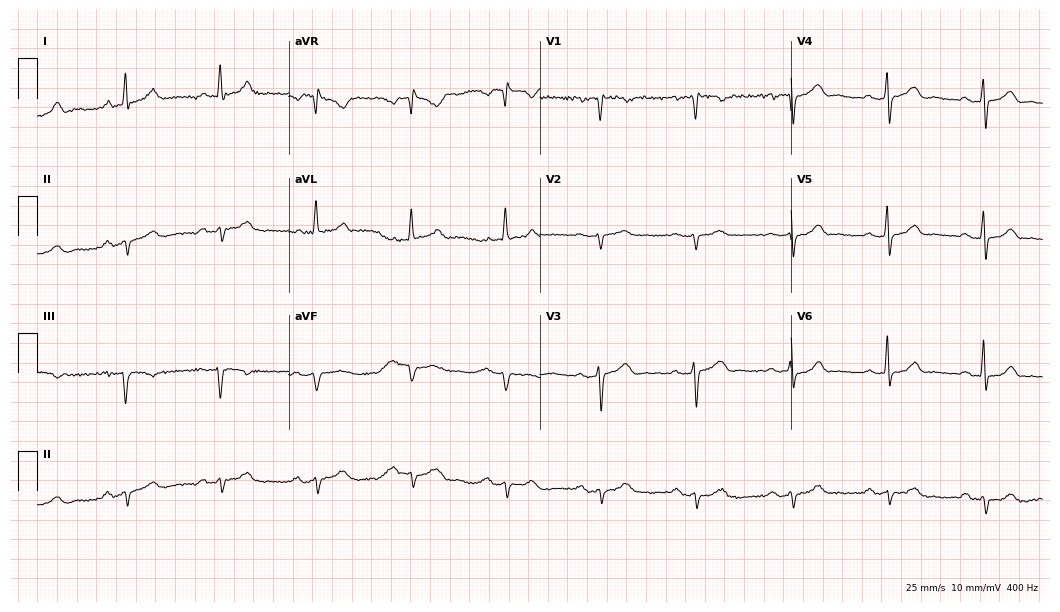
Resting 12-lead electrocardiogram (10.2-second recording at 400 Hz). Patient: a 74-year-old male. None of these six findings is recorded: first-degree AV block, right bundle branch block, left bundle branch block, sinus bradycardia, atrial fibrillation, sinus tachycardia.